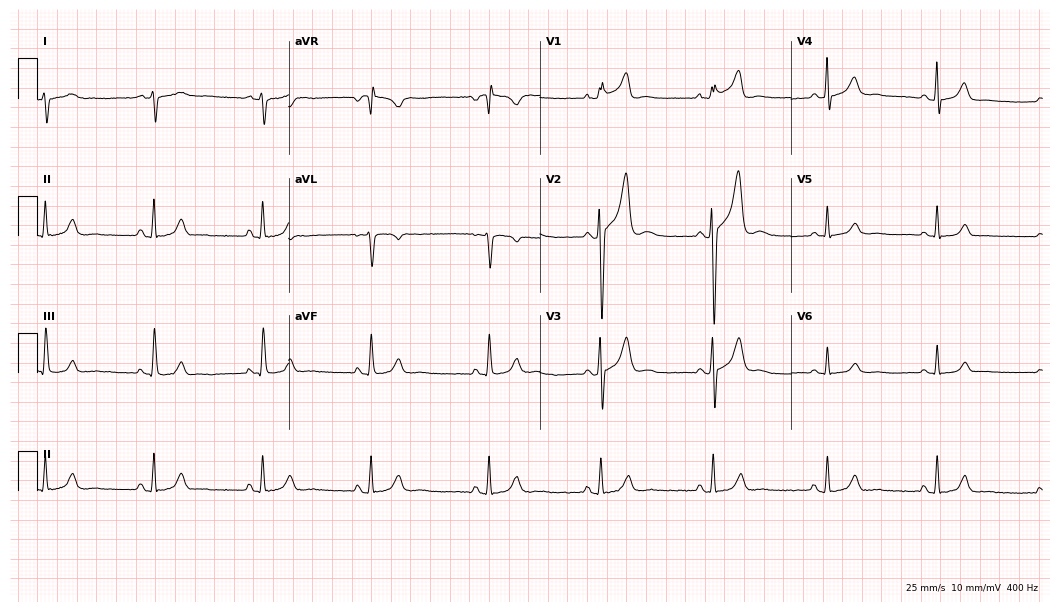
12-lead ECG from a woman, 20 years old. Recorded interpretation: within normal limits.